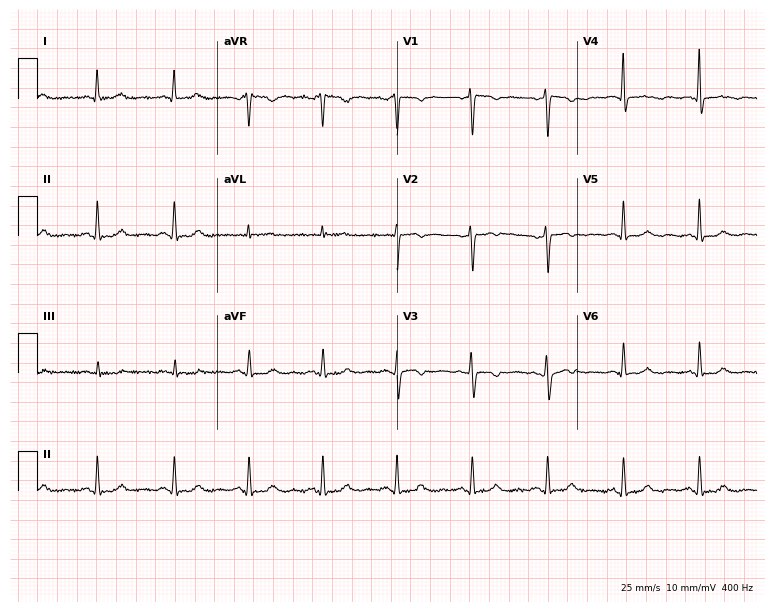
Resting 12-lead electrocardiogram (7.3-second recording at 400 Hz). Patient: a female, 50 years old. None of these six findings is recorded: first-degree AV block, right bundle branch block, left bundle branch block, sinus bradycardia, atrial fibrillation, sinus tachycardia. Other findings, if any, are not listed.